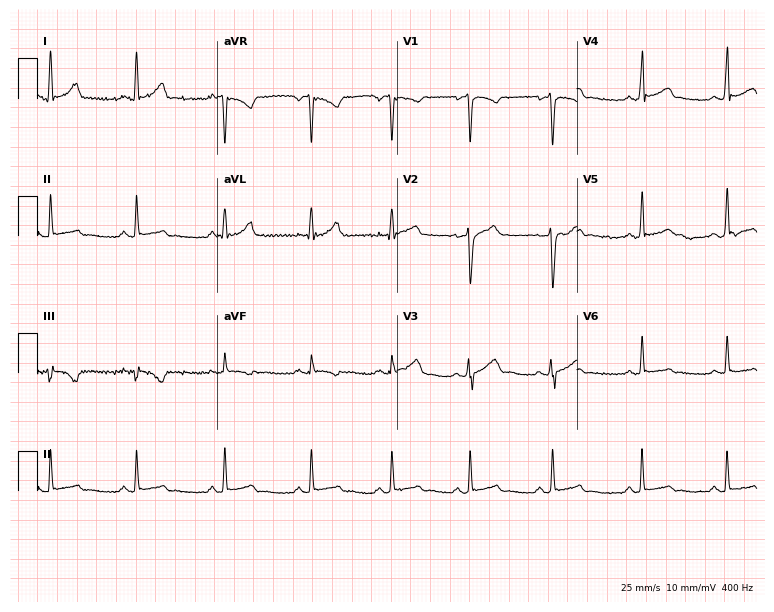
ECG — a 23-year-old male patient. Labelled as a normal ECG.